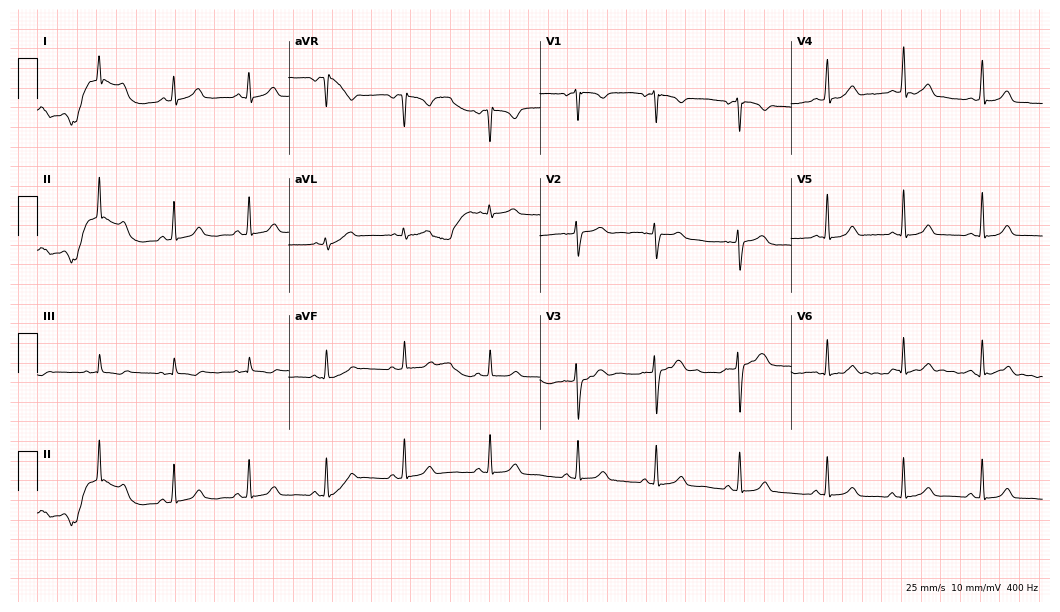
Electrocardiogram (10.2-second recording at 400 Hz), a 25-year-old woman. Overall reading on record: normal ECG.